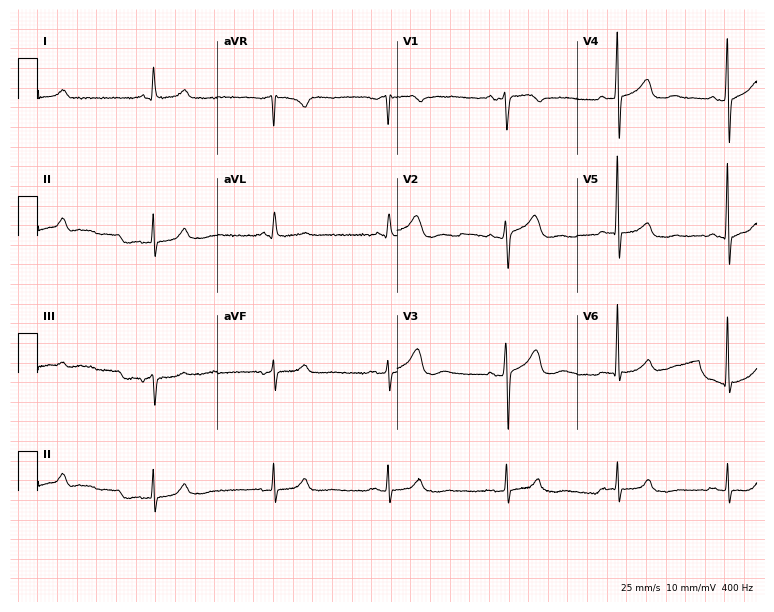
12-lead ECG (7.3-second recording at 400 Hz) from a man, 68 years old. Labelled as a normal ECG.